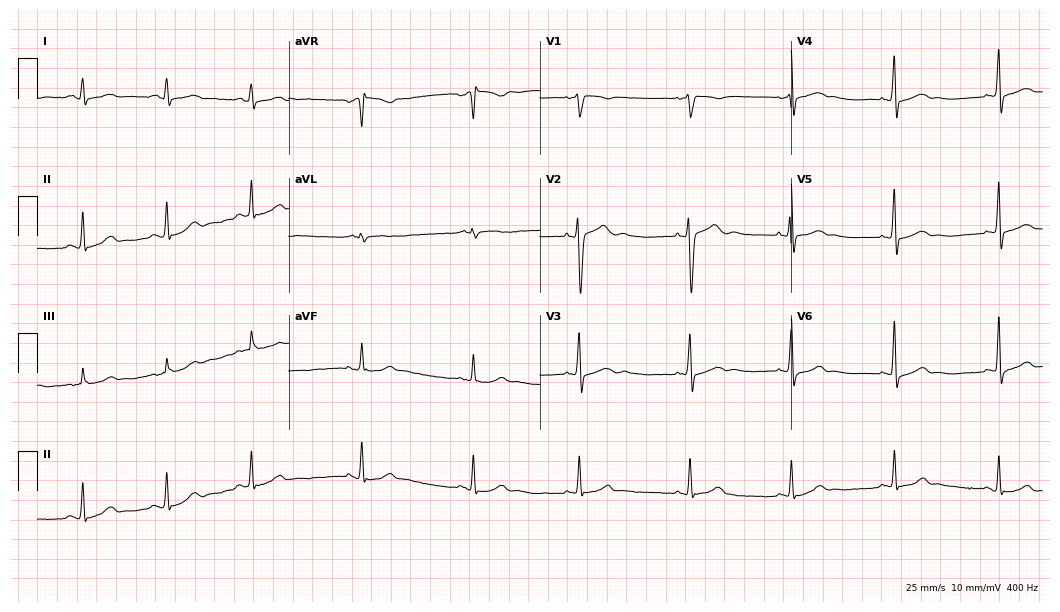
Electrocardiogram, a female patient, 24 years old. Overall reading on record: normal ECG.